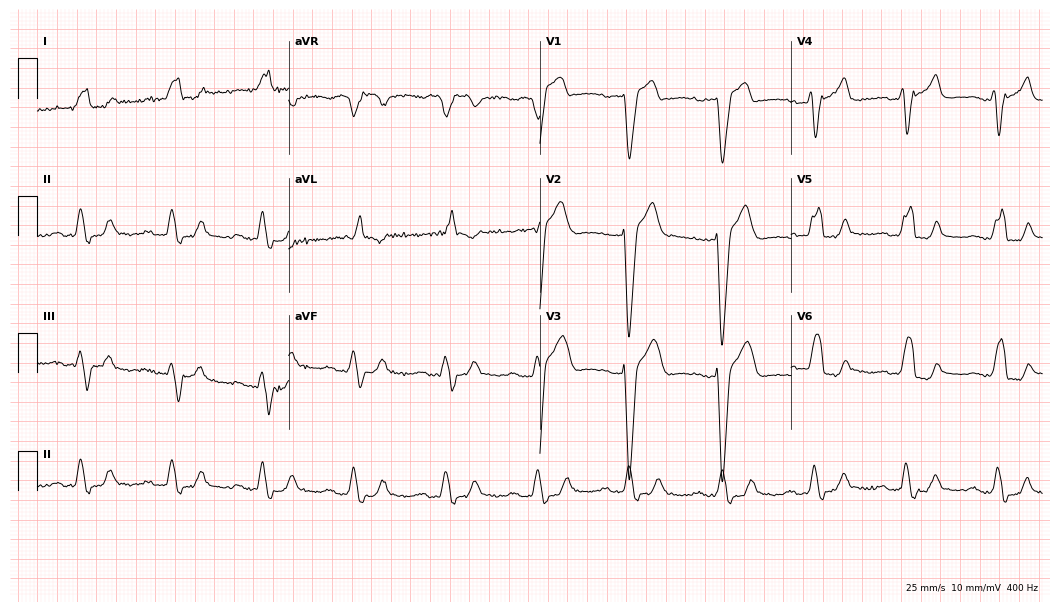
ECG — a male patient, 82 years old. Findings include first-degree AV block, left bundle branch block.